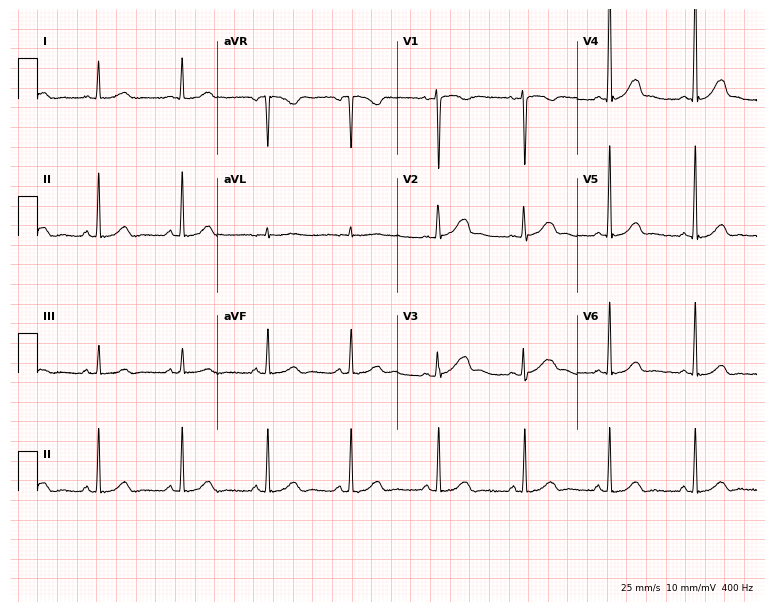
12-lead ECG from a female, 35 years old. Labelled as a normal ECG.